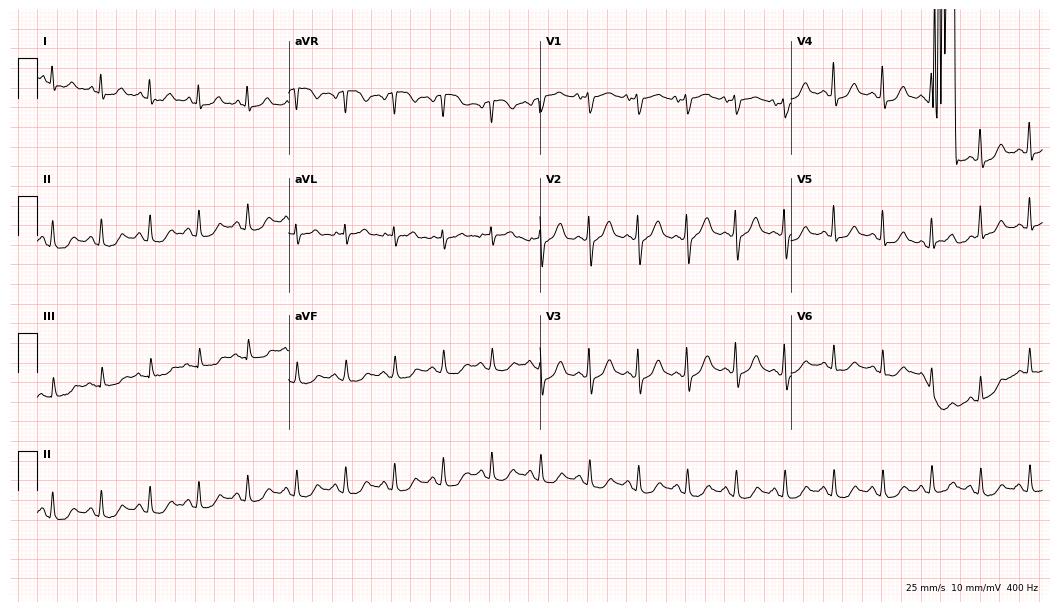
12-lead ECG (10.2-second recording at 400 Hz) from a male patient, 72 years old. Screened for six findings — first-degree AV block, right bundle branch block, left bundle branch block, sinus bradycardia, atrial fibrillation, sinus tachycardia — none is recorded.